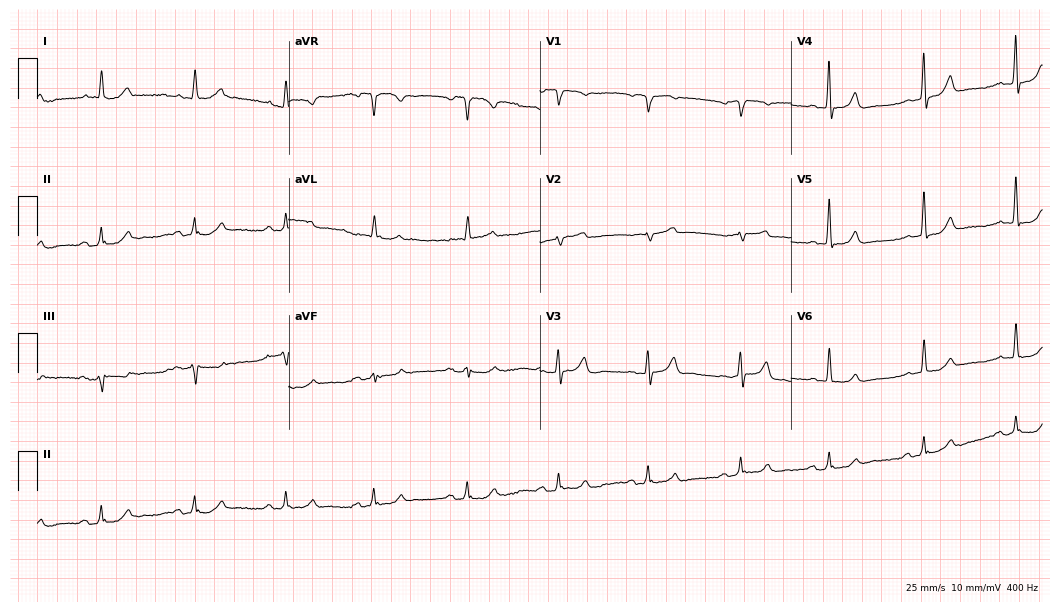
12-lead ECG (10.2-second recording at 400 Hz) from a female, 68 years old. Labelled as a normal ECG.